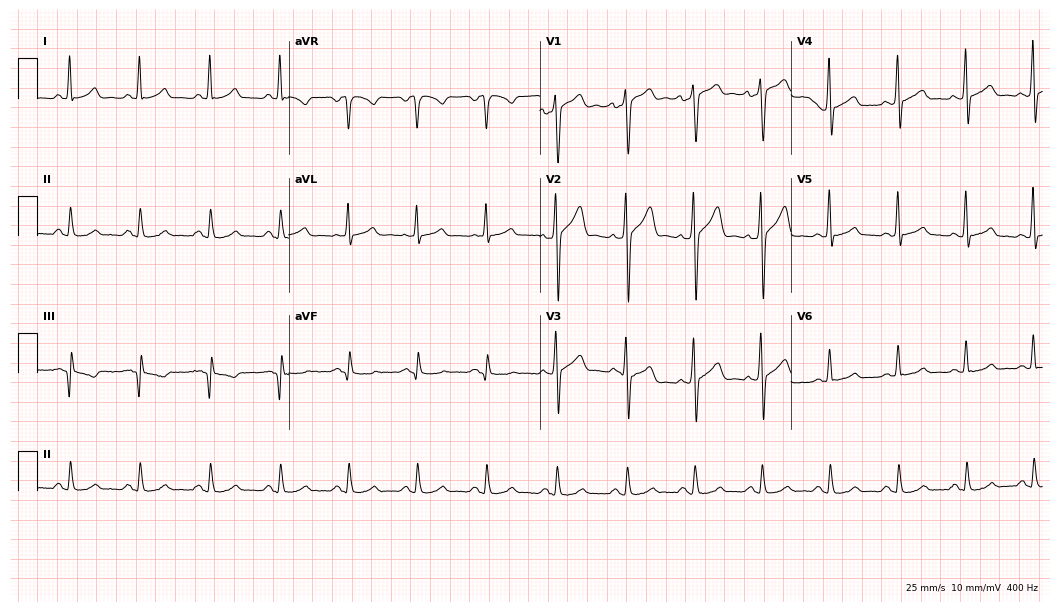
Resting 12-lead electrocardiogram (10.2-second recording at 400 Hz). Patient: a male, 43 years old. Read as a normal ECG.